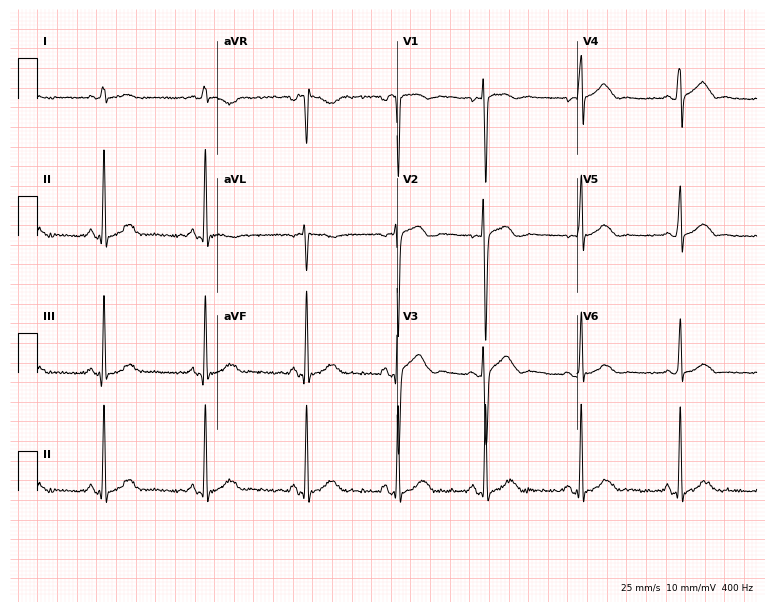
Electrocardiogram, a man, 25 years old. Overall reading on record: normal ECG.